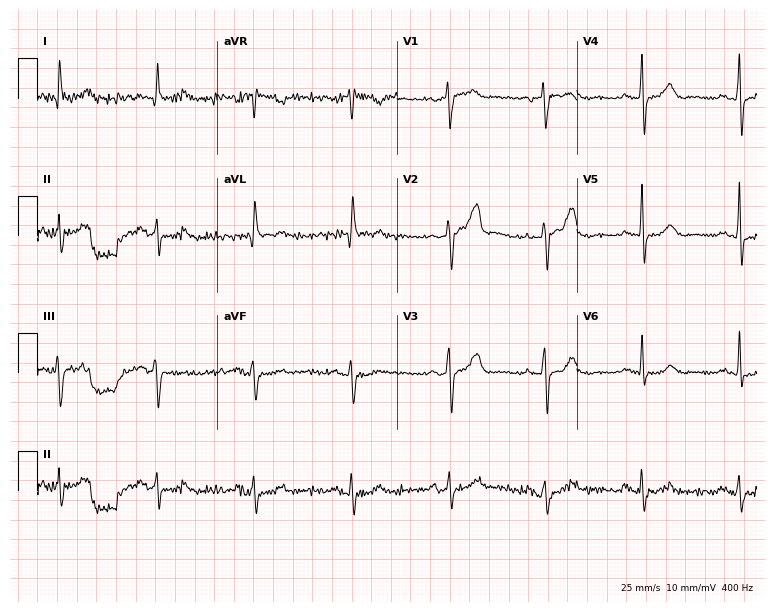
12-lead ECG from an 80-year-old man. Labelled as a normal ECG.